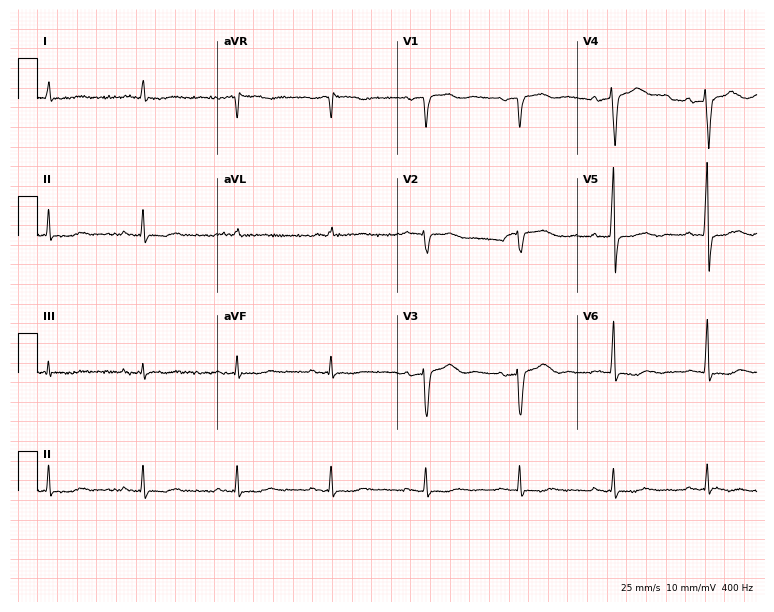
Resting 12-lead electrocardiogram. Patient: a man, 86 years old. None of these six findings is recorded: first-degree AV block, right bundle branch block, left bundle branch block, sinus bradycardia, atrial fibrillation, sinus tachycardia.